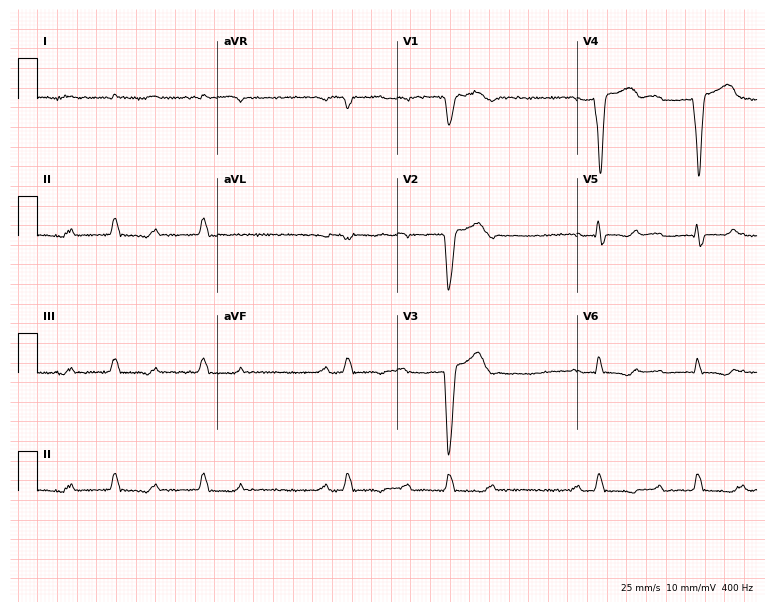
Electrocardiogram, a 55-year-old man. Interpretation includes left bundle branch block (LBBB).